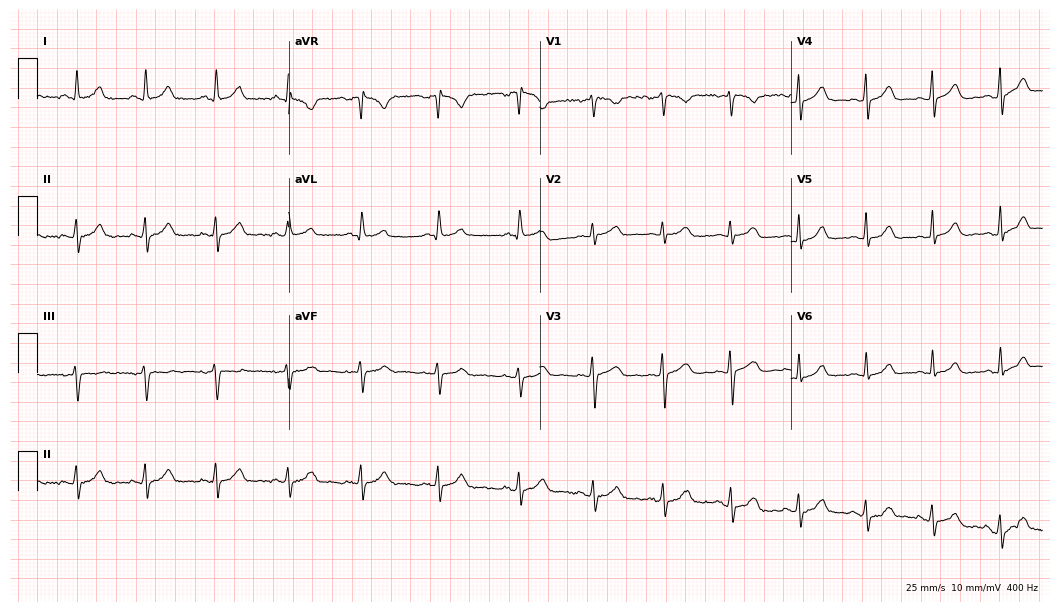
12-lead ECG (10.2-second recording at 400 Hz) from a female, 29 years old. Labelled as a normal ECG.